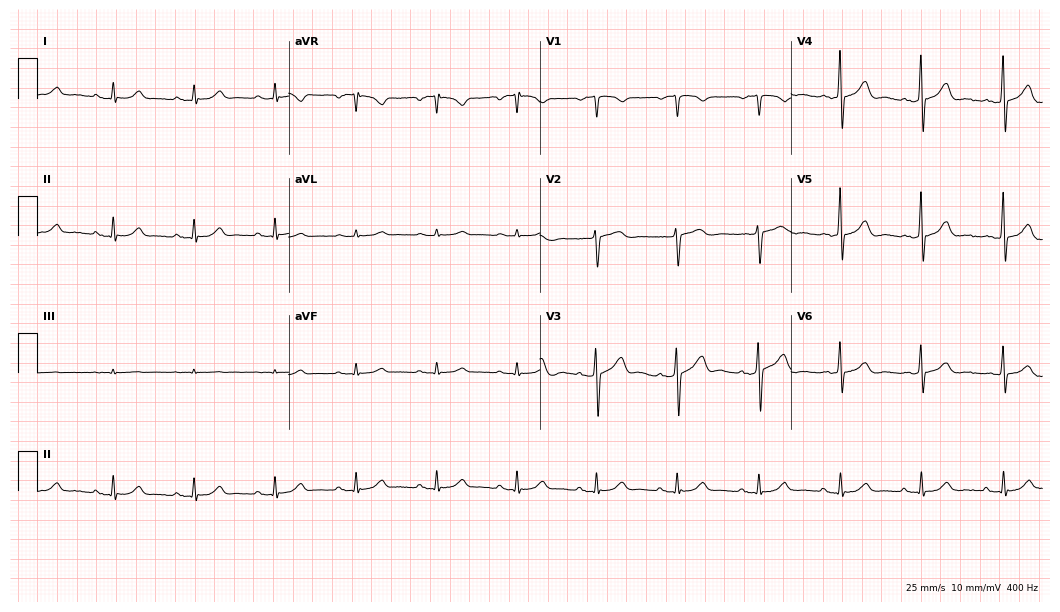
12-lead ECG from a male patient, 76 years old. No first-degree AV block, right bundle branch block, left bundle branch block, sinus bradycardia, atrial fibrillation or sinus tachycardia recorded for this tracing. Other findings, if any, are not listed.